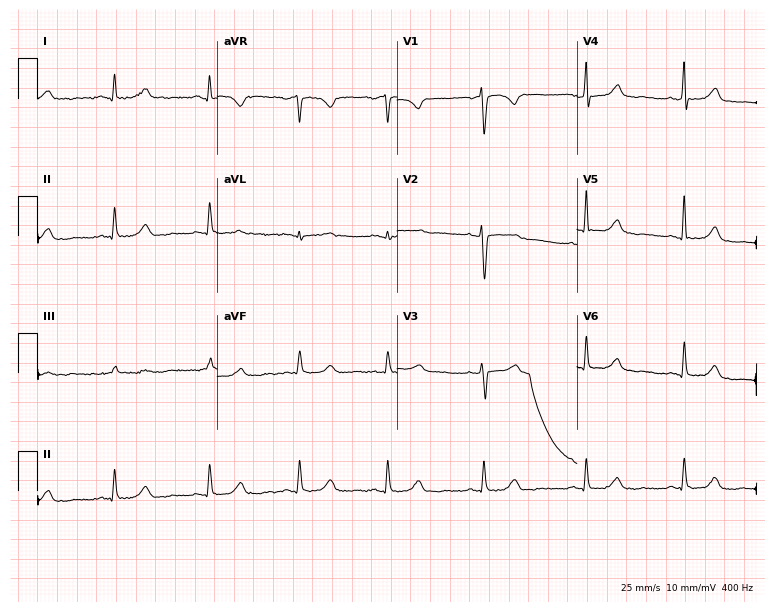
Resting 12-lead electrocardiogram (7.3-second recording at 400 Hz). Patient: a female, 56 years old. None of these six findings is recorded: first-degree AV block, right bundle branch block (RBBB), left bundle branch block (LBBB), sinus bradycardia, atrial fibrillation (AF), sinus tachycardia. Only these six findings were labelled.